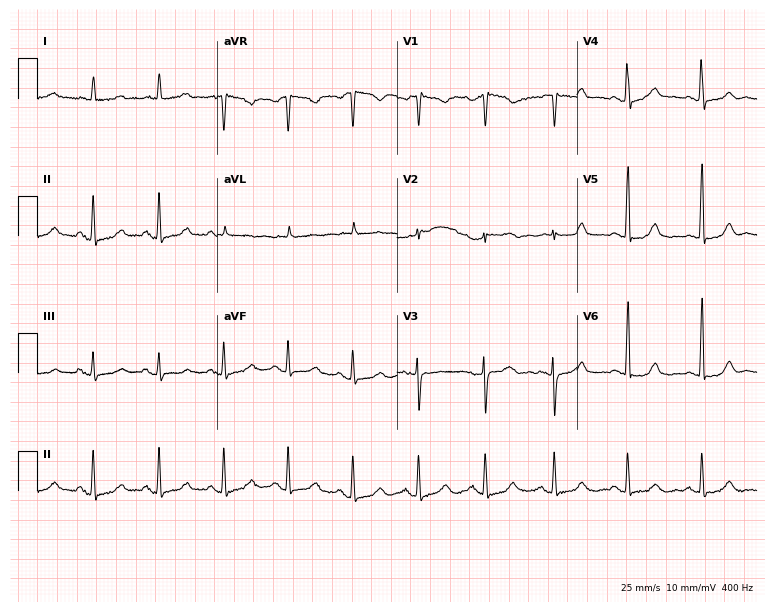
12-lead ECG (7.3-second recording at 400 Hz) from a 53-year-old woman. Labelled as a normal ECG.